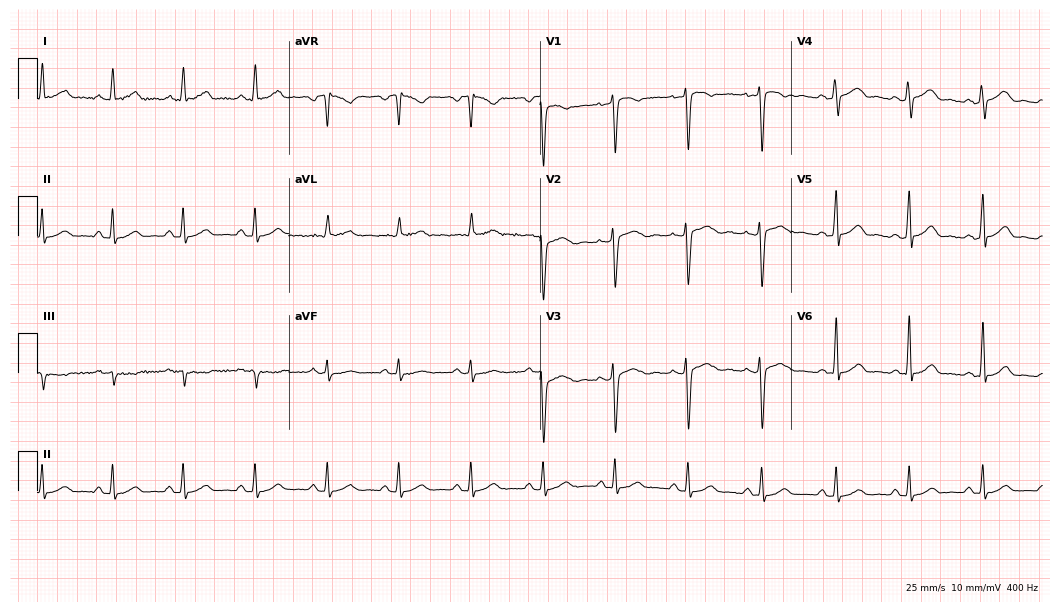
Resting 12-lead electrocardiogram. Patient: a 26-year-old man. Read as a normal ECG.